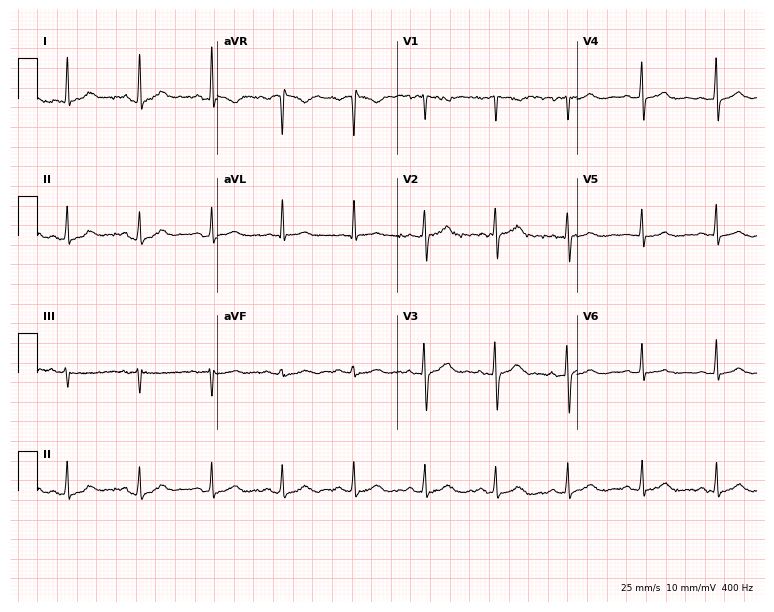
Standard 12-lead ECG recorded from a woman, 43 years old. Read as a normal ECG.